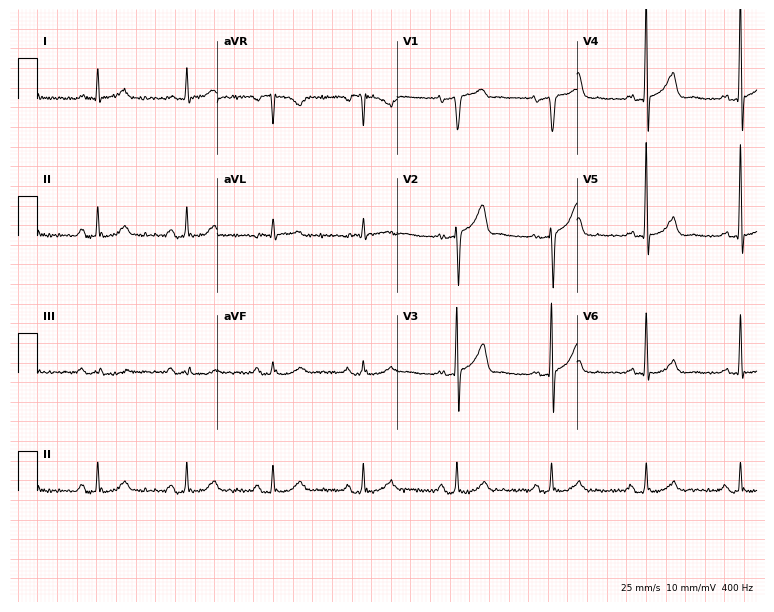
ECG (7.3-second recording at 400 Hz) — a man, 70 years old. Screened for six findings — first-degree AV block, right bundle branch block, left bundle branch block, sinus bradycardia, atrial fibrillation, sinus tachycardia — none is recorded.